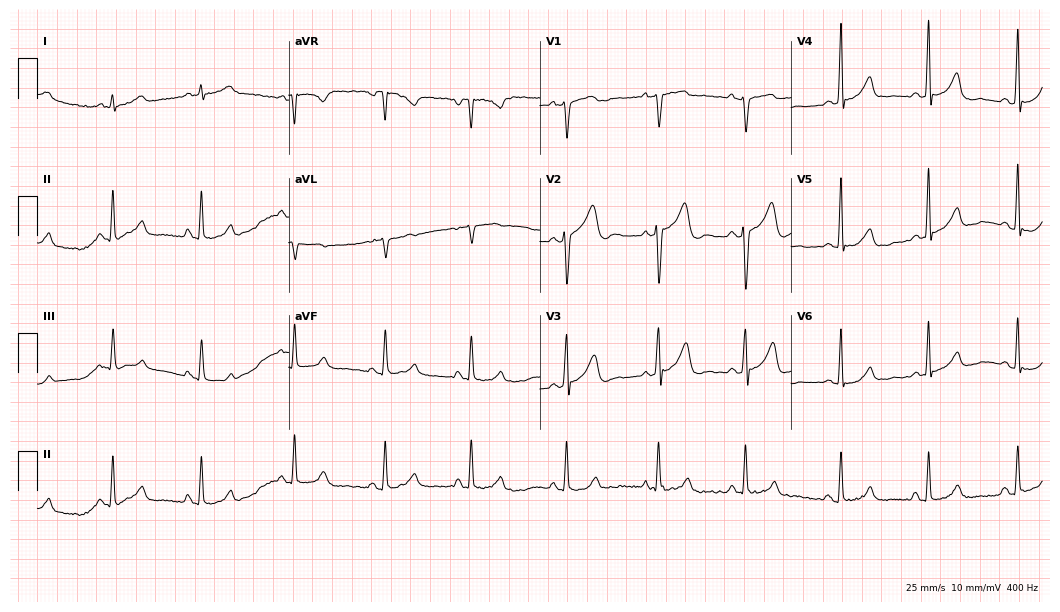
12-lead ECG from a male, 36 years old (10.2-second recording at 400 Hz). Recorded interpretation: within normal limits.